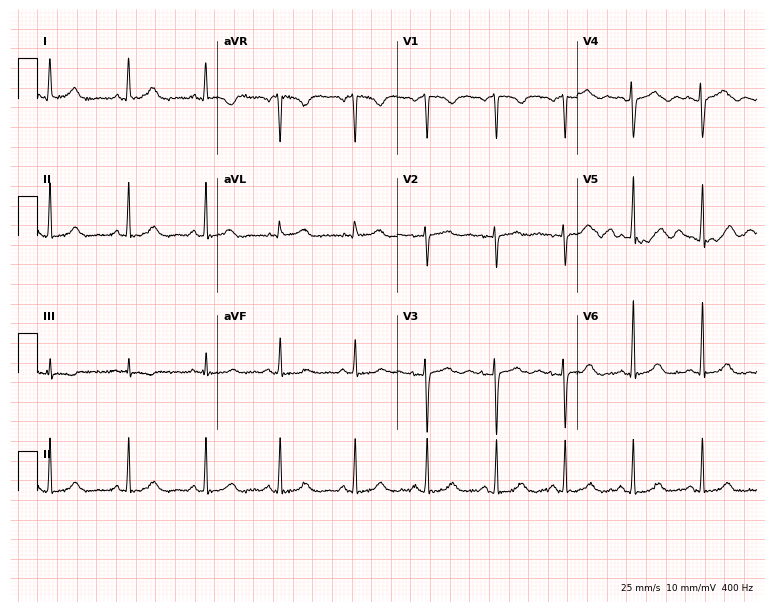
12-lead ECG from a 28-year-old woman. Recorded interpretation: within normal limits.